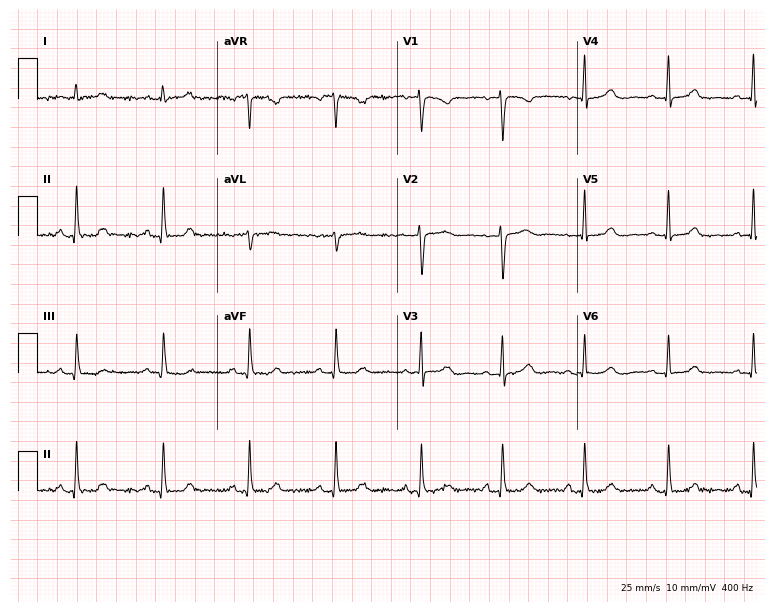
ECG (7.3-second recording at 400 Hz) — a female patient, 47 years old. Labelled as a normal ECG.